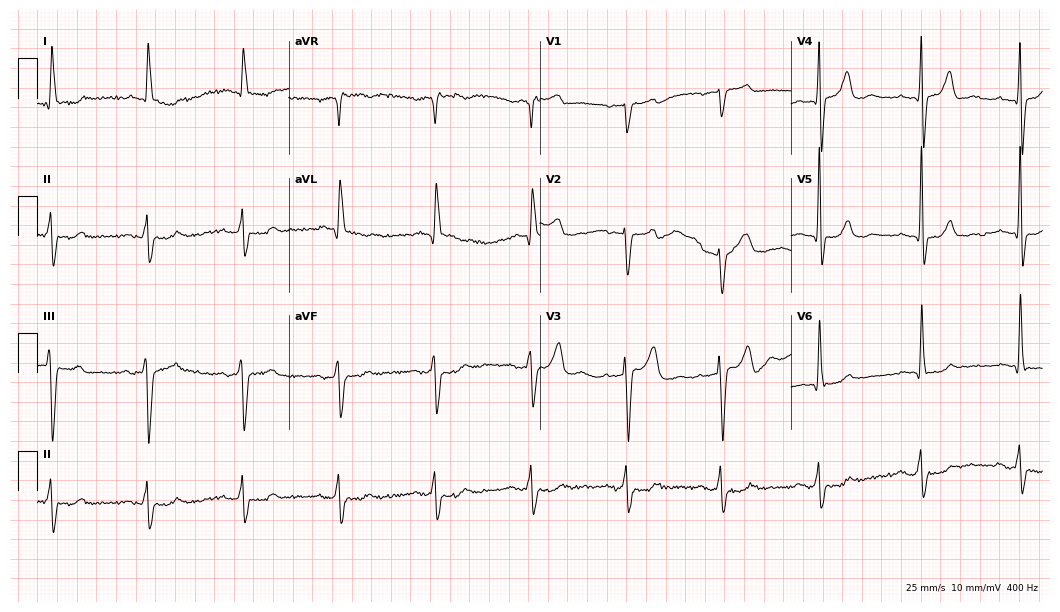
ECG — a 76-year-old male. Screened for six findings — first-degree AV block, right bundle branch block (RBBB), left bundle branch block (LBBB), sinus bradycardia, atrial fibrillation (AF), sinus tachycardia — none is recorded.